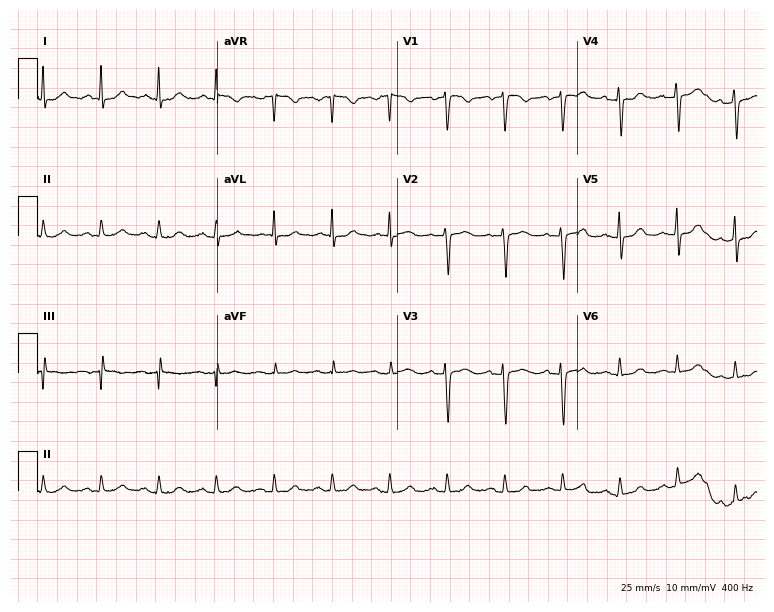
ECG — a female patient, 45 years old. Labelled as a normal ECG.